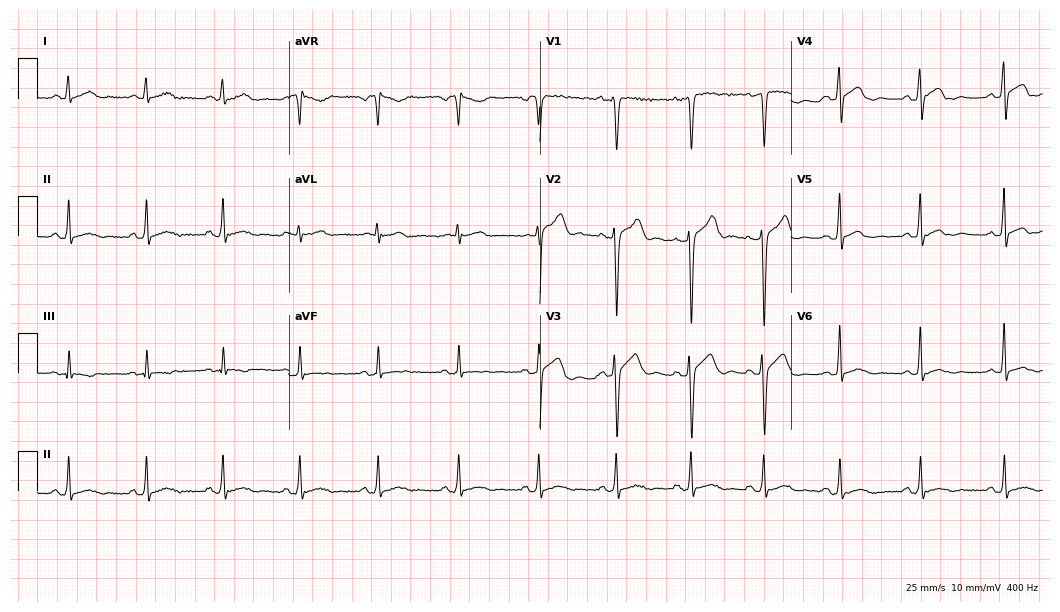
Electrocardiogram (10.2-second recording at 400 Hz), a 30-year-old male patient. Overall reading on record: normal ECG.